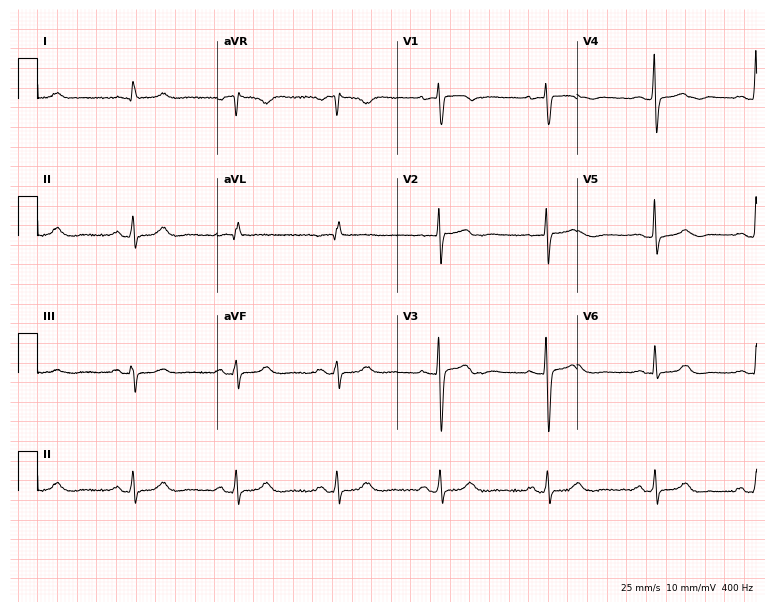
12-lead ECG from a 60-year-old female patient. Screened for six findings — first-degree AV block, right bundle branch block, left bundle branch block, sinus bradycardia, atrial fibrillation, sinus tachycardia — none is recorded. Other findings, if any, are not listed.